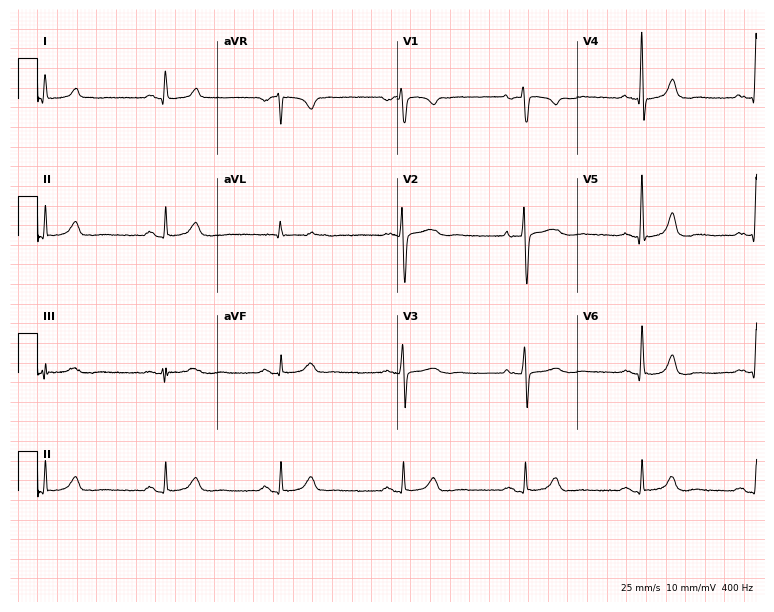
ECG (7.3-second recording at 400 Hz) — a woman, 59 years old. Labelled as a normal ECG.